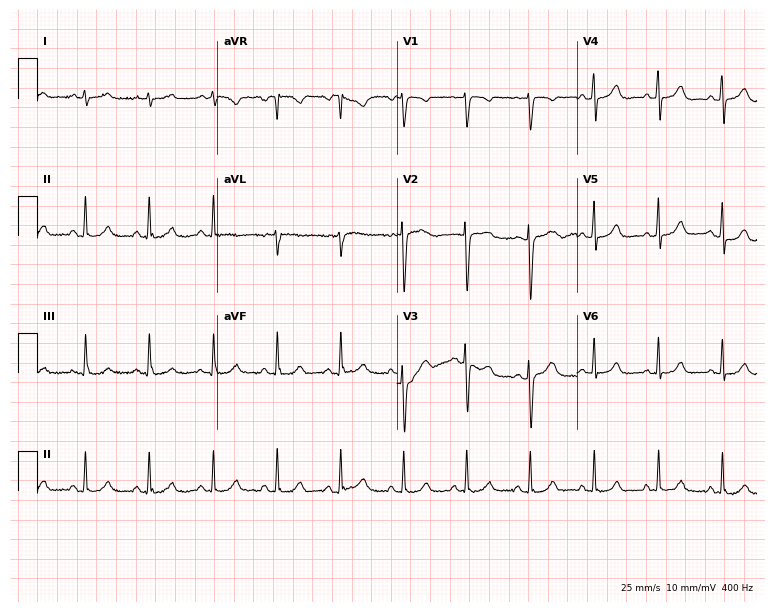
ECG — a female patient, 29 years old. Screened for six findings — first-degree AV block, right bundle branch block (RBBB), left bundle branch block (LBBB), sinus bradycardia, atrial fibrillation (AF), sinus tachycardia — none is recorded.